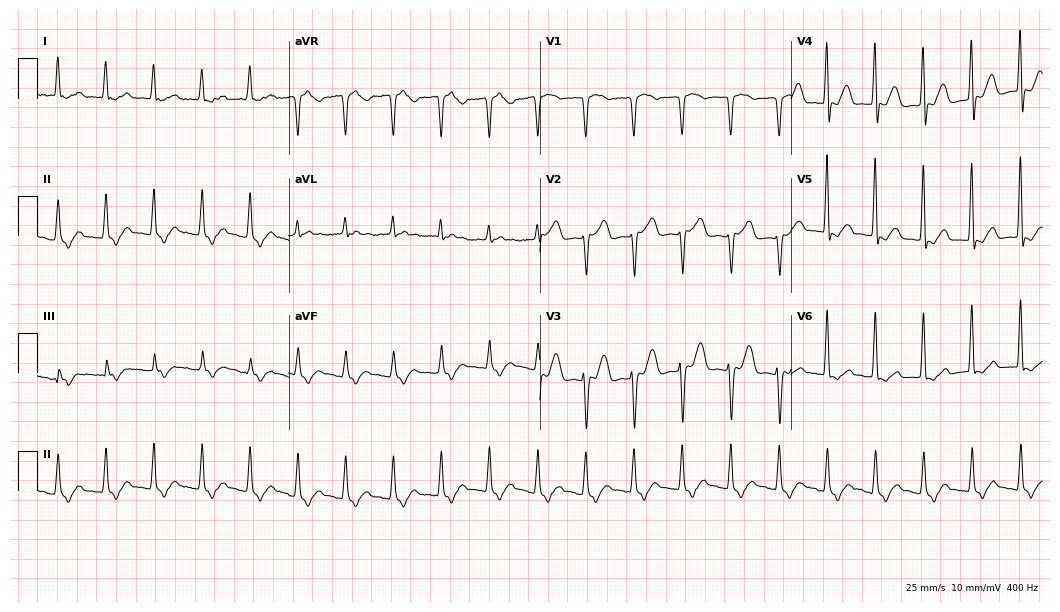
Resting 12-lead electrocardiogram. Patient: a 45-year-old female. None of these six findings is recorded: first-degree AV block, right bundle branch block, left bundle branch block, sinus bradycardia, atrial fibrillation, sinus tachycardia.